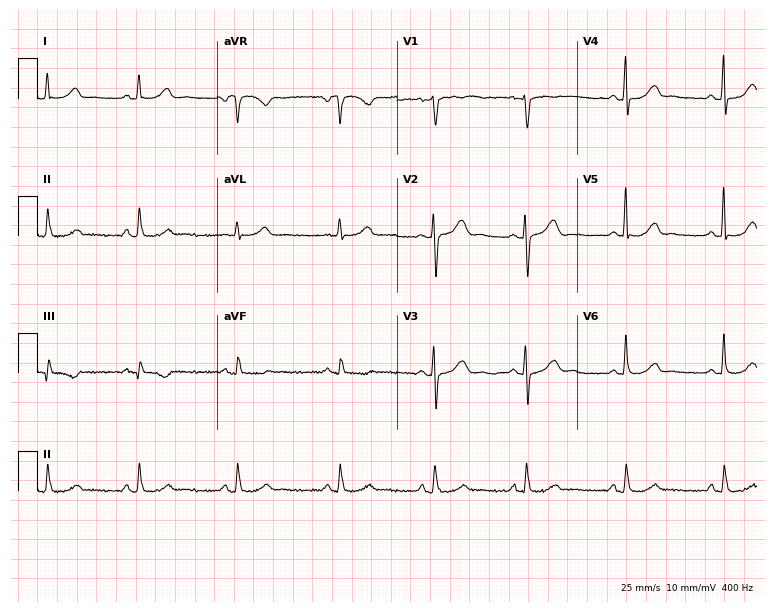
12-lead ECG from a 47-year-old woman. Screened for six findings — first-degree AV block, right bundle branch block, left bundle branch block, sinus bradycardia, atrial fibrillation, sinus tachycardia — none is recorded. Other findings, if any, are not listed.